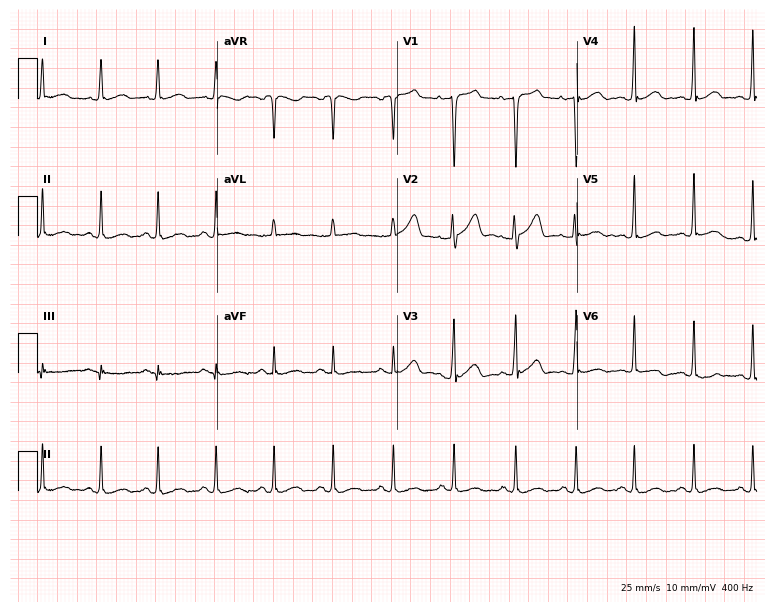
12-lead ECG (7.3-second recording at 400 Hz) from a 47-year-old male patient. Screened for six findings — first-degree AV block, right bundle branch block, left bundle branch block, sinus bradycardia, atrial fibrillation, sinus tachycardia — none is recorded. Other findings, if any, are not listed.